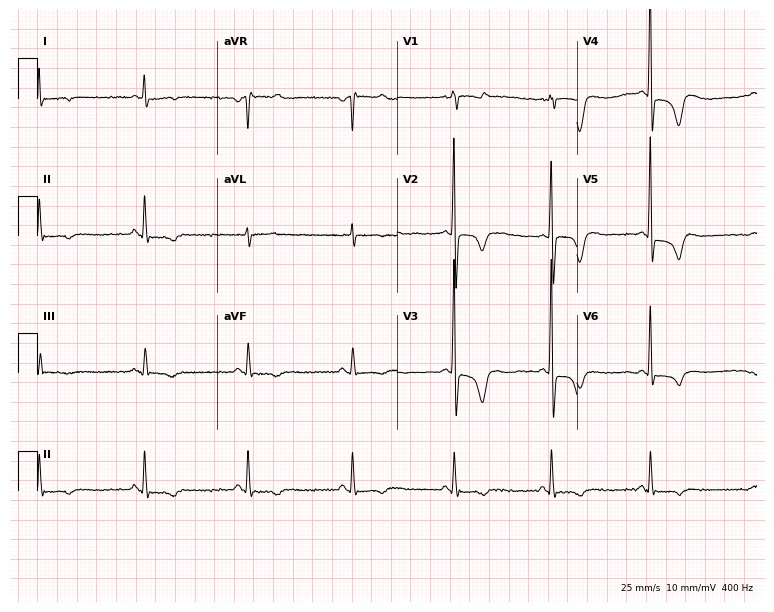
ECG (7.3-second recording at 400 Hz) — a 71-year-old male patient. Screened for six findings — first-degree AV block, right bundle branch block, left bundle branch block, sinus bradycardia, atrial fibrillation, sinus tachycardia — none is recorded. Other findings, if any, are not listed.